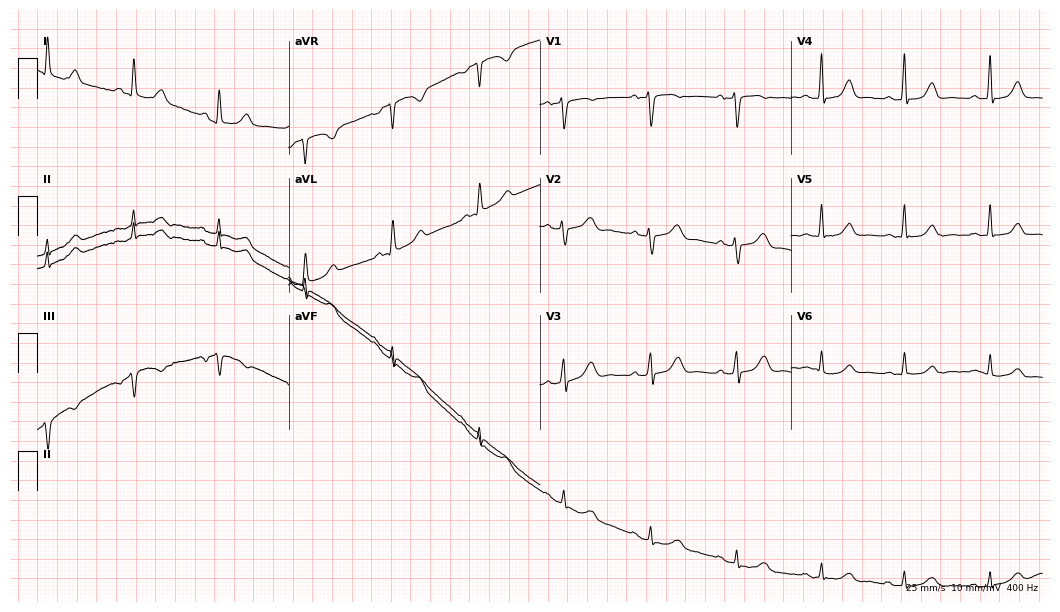
Standard 12-lead ECG recorded from a 63-year-old woman. Read as a normal ECG.